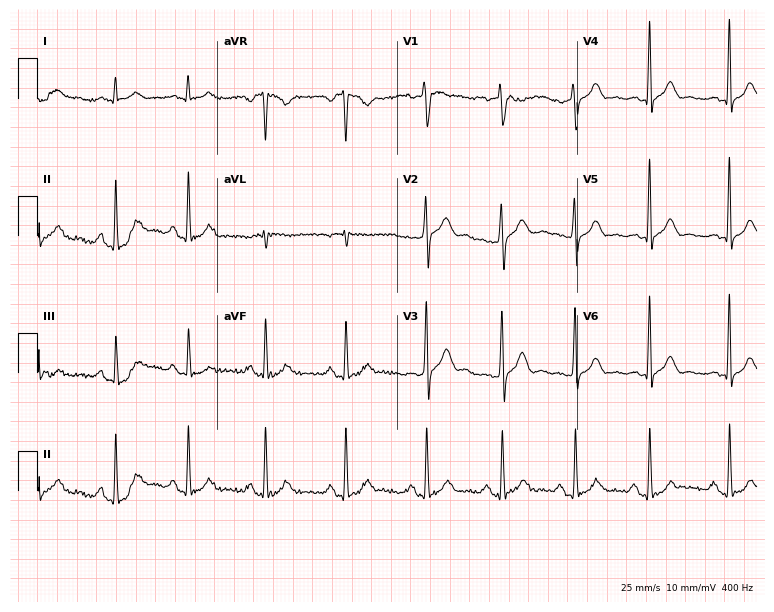
Standard 12-lead ECG recorded from a 30-year-old male patient. Read as a normal ECG.